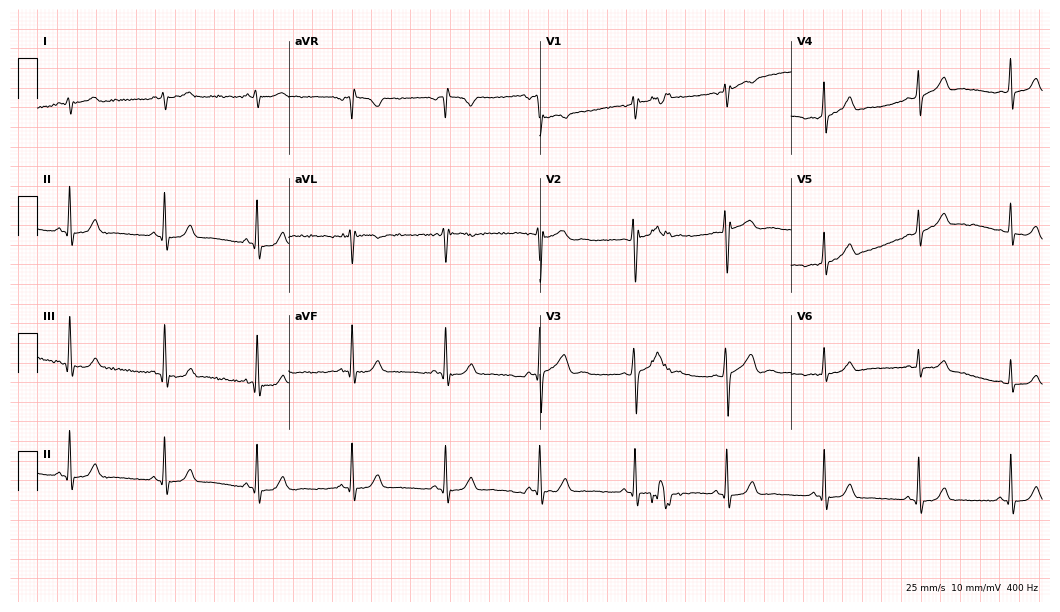
Resting 12-lead electrocardiogram. Patient: a 21-year-old male. Read as a normal ECG.